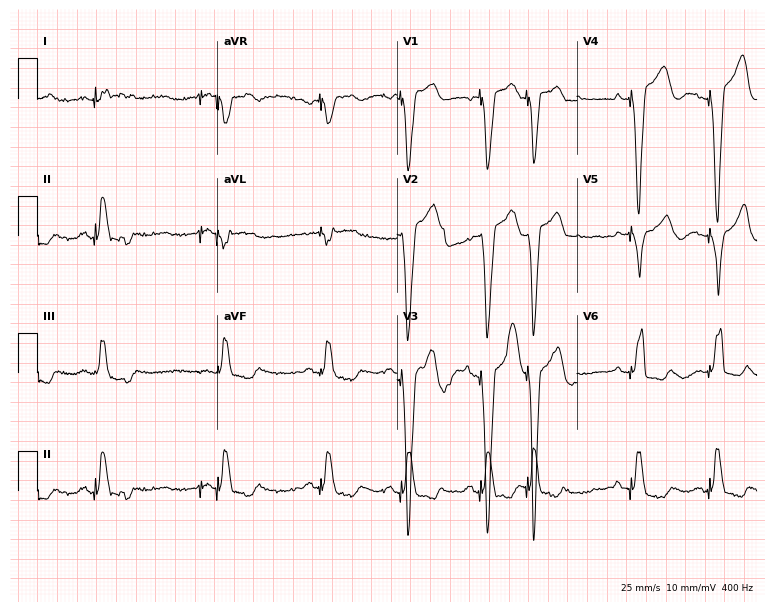
12-lead ECG from an 80-year-old man. No first-degree AV block, right bundle branch block (RBBB), left bundle branch block (LBBB), sinus bradycardia, atrial fibrillation (AF) or sinus tachycardia recorded for this tracing.